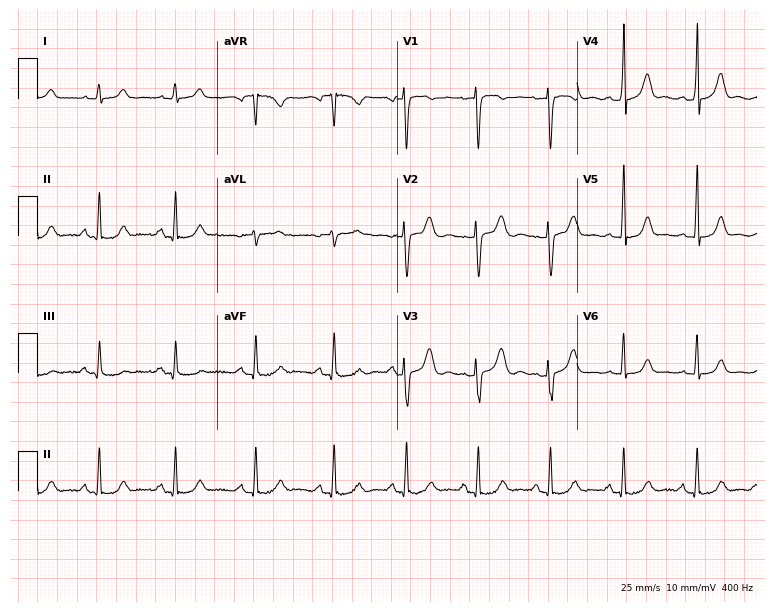
Electrocardiogram (7.3-second recording at 400 Hz), a female patient, 30 years old. Overall reading on record: normal ECG.